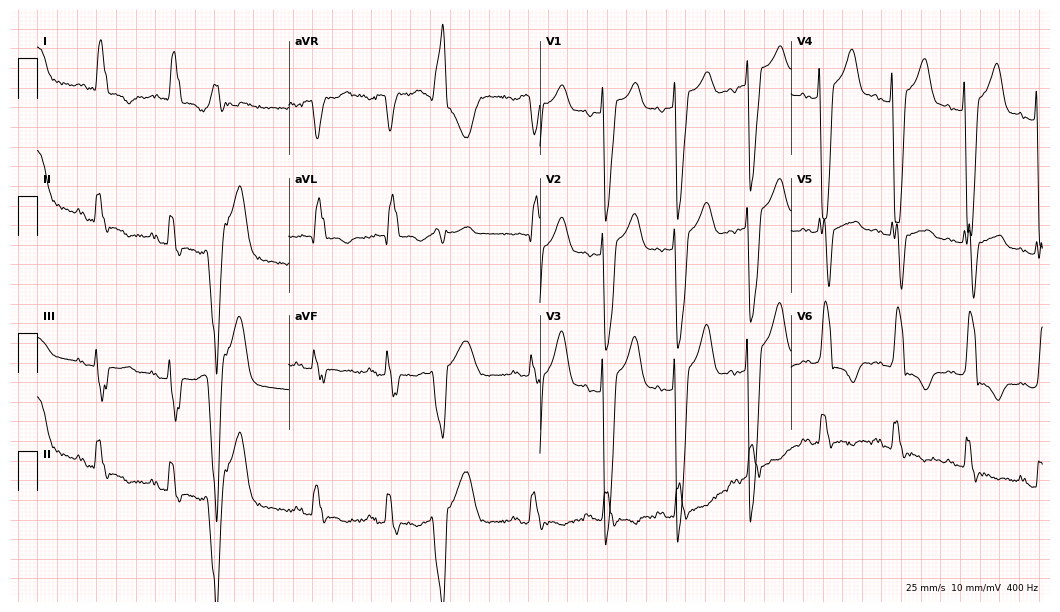
ECG — a female patient, 77 years old. Findings include left bundle branch block.